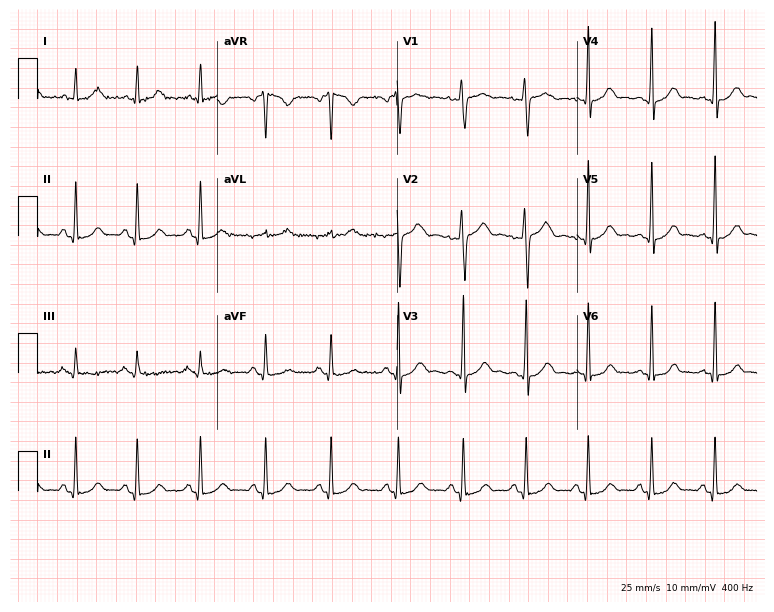
Standard 12-lead ECG recorded from a woman, 26 years old (7.3-second recording at 400 Hz). Read as a normal ECG.